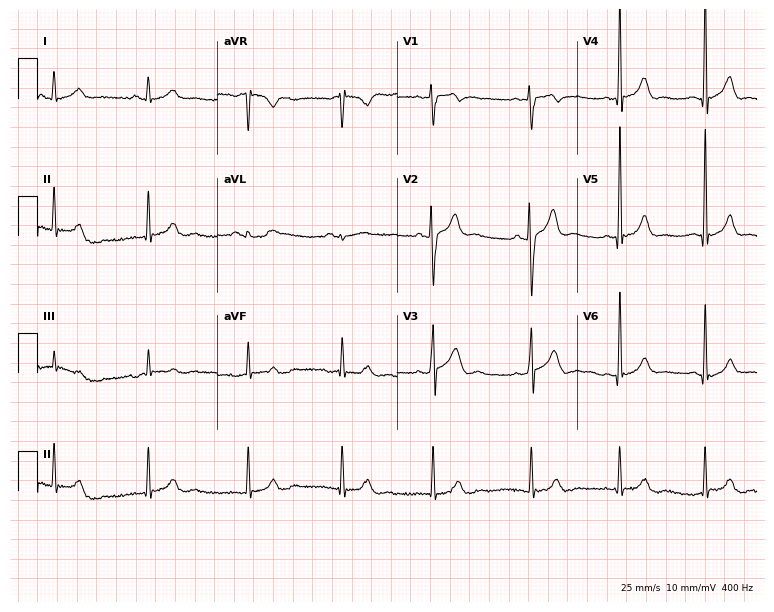
12-lead ECG from a male patient, 34 years old (7.3-second recording at 400 Hz). Recorded interpretation: within normal limits.